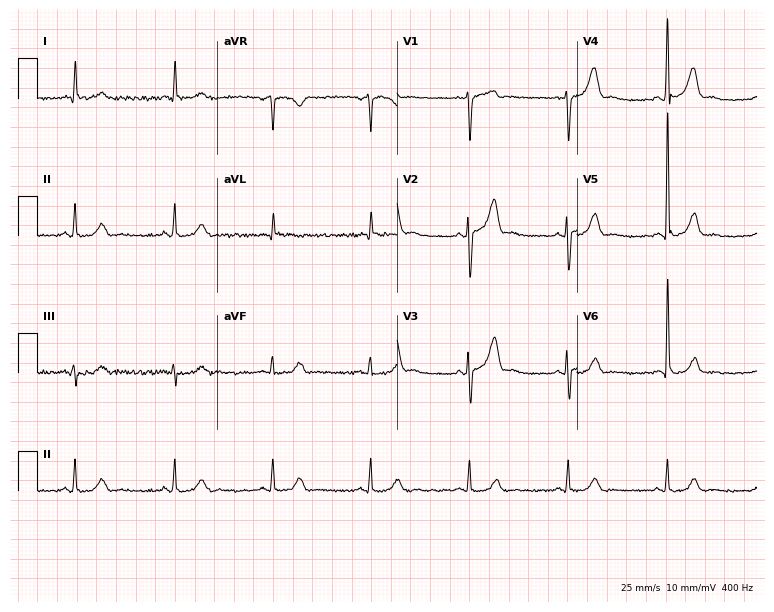
Standard 12-lead ECG recorded from a 67-year-old male. None of these six findings is recorded: first-degree AV block, right bundle branch block, left bundle branch block, sinus bradycardia, atrial fibrillation, sinus tachycardia.